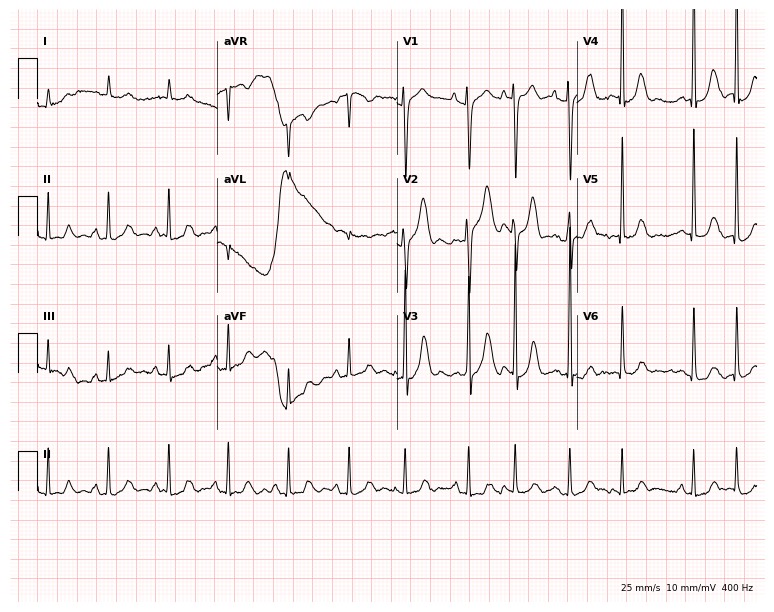
ECG (7.3-second recording at 400 Hz) — an 84-year-old female patient. Screened for six findings — first-degree AV block, right bundle branch block, left bundle branch block, sinus bradycardia, atrial fibrillation, sinus tachycardia — none is recorded. Only these six findings were labelled.